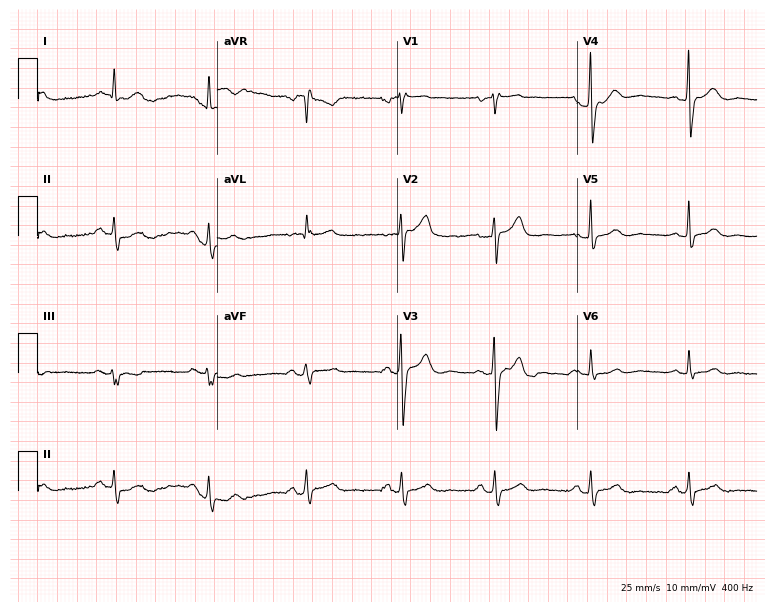
ECG — a man, 62 years old. Labelled as a normal ECG.